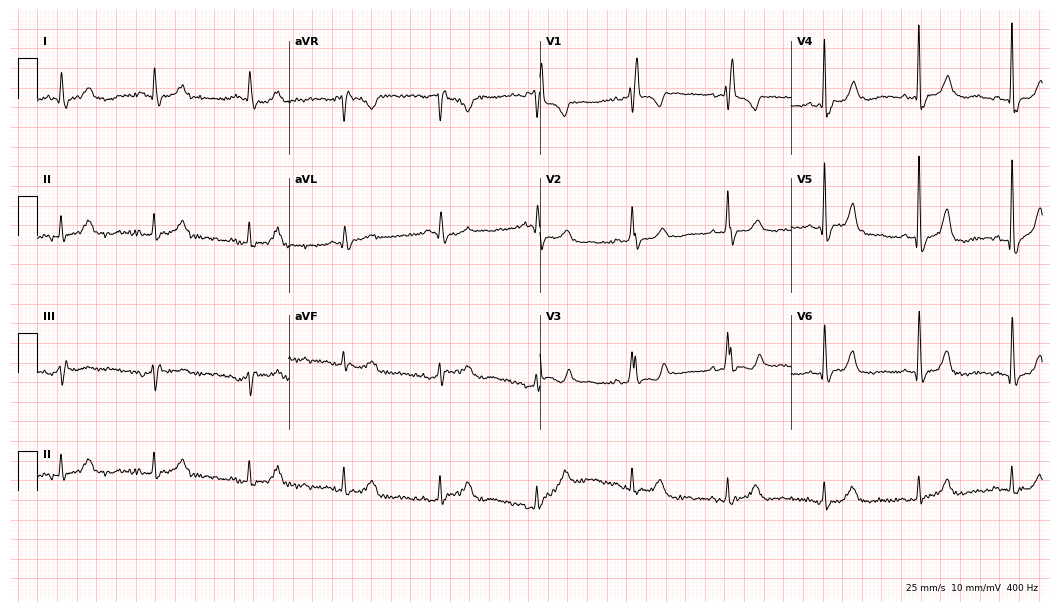
Electrocardiogram (10.2-second recording at 400 Hz), an 87-year-old female. Of the six screened findings (first-degree AV block, right bundle branch block, left bundle branch block, sinus bradycardia, atrial fibrillation, sinus tachycardia), none is recorded.